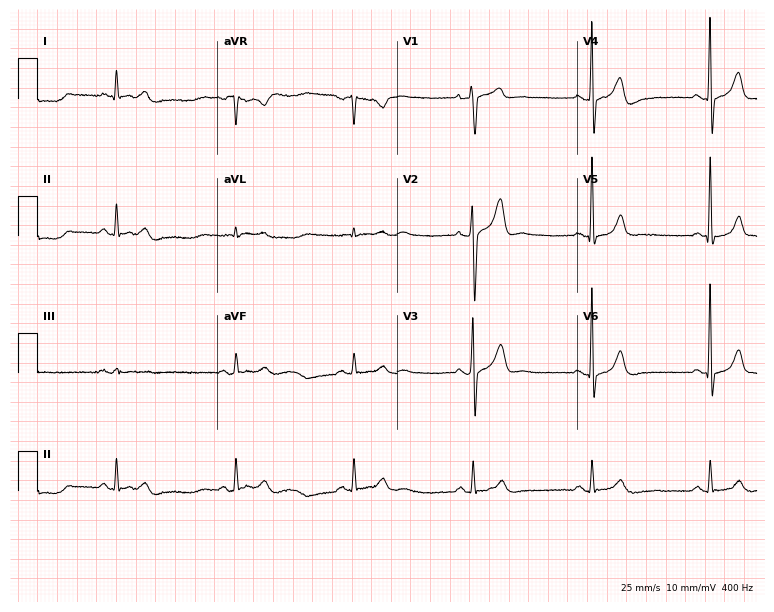
Standard 12-lead ECG recorded from a man, 67 years old (7.3-second recording at 400 Hz). None of these six findings is recorded: first-degree AV block, right bundle branch block (RBBB), left bundle branch block (LBBB), sinus bradycardia, atrial fibrillation (AF), sinus tachycardia. Only these six findings were labelled.